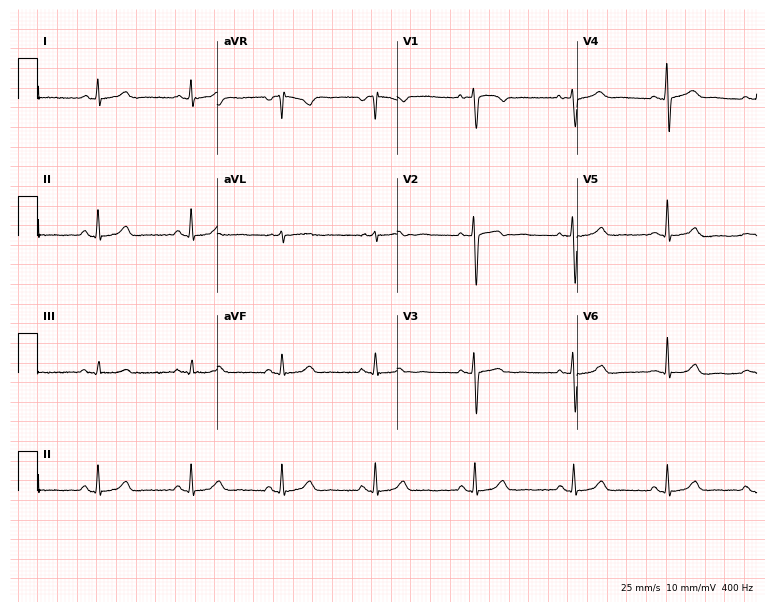
12-lead ECG from a 37-year-old female (7.3-second recording at 400 Hz). Recorded interpretation: within normal limits.